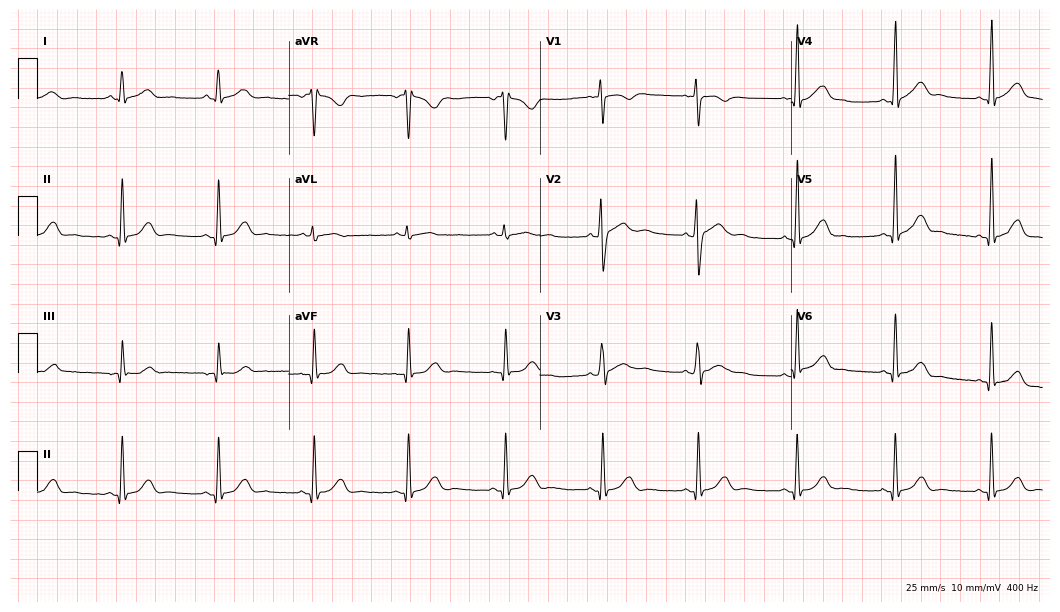
Electrocardiogram, a 28-year-old male patient. Overall reading on record: normal ECG.